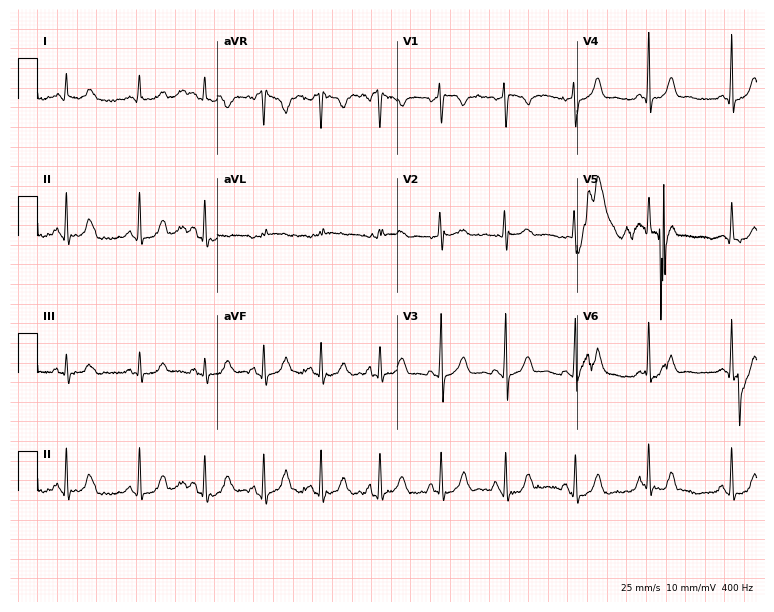
12-lead ECG from a woman, 21 years old (7.3-second recording at 400 Hz). No first-degree AV block, right bundle branch block, left bundle branch block, sinus bradycardia, atrial fibrillation or sinus tachycardia recorded for this tracing.